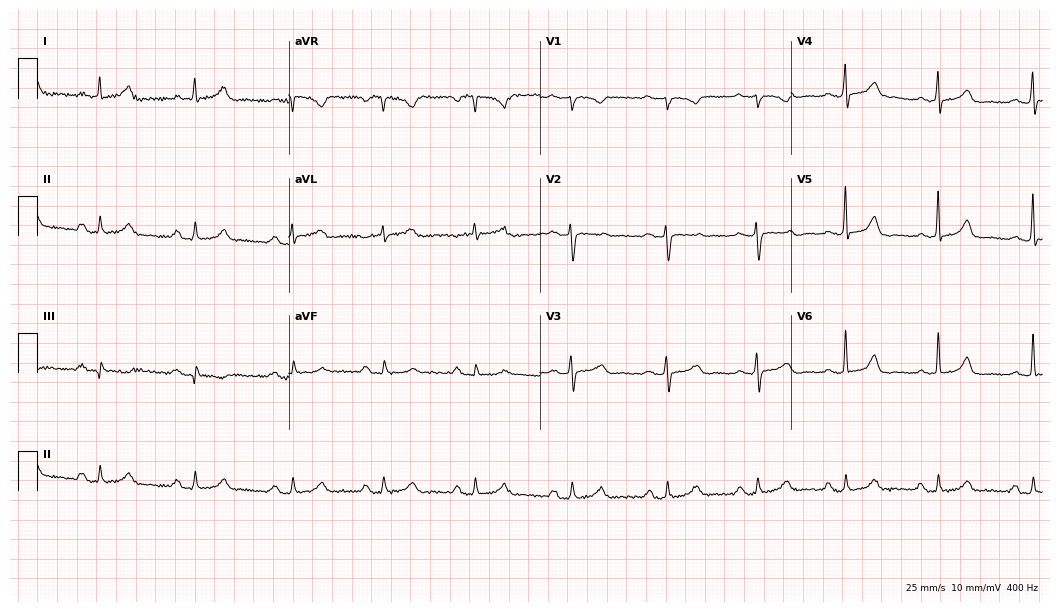
12-lead ECG from a woman, 36 years old. Recorded interpretation: within normal limits.